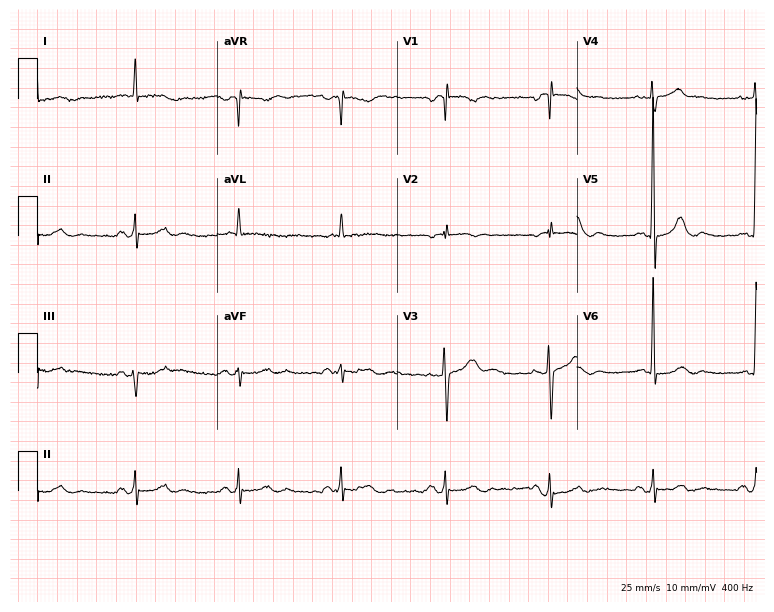
ECG — an 80-year-old male patient. Screened for six findings — first-degree AV block, right bundle branch block, left bundle branch block, sinus bradycardia, atrial fibrillation, sinus tachycardia — none is recorded.